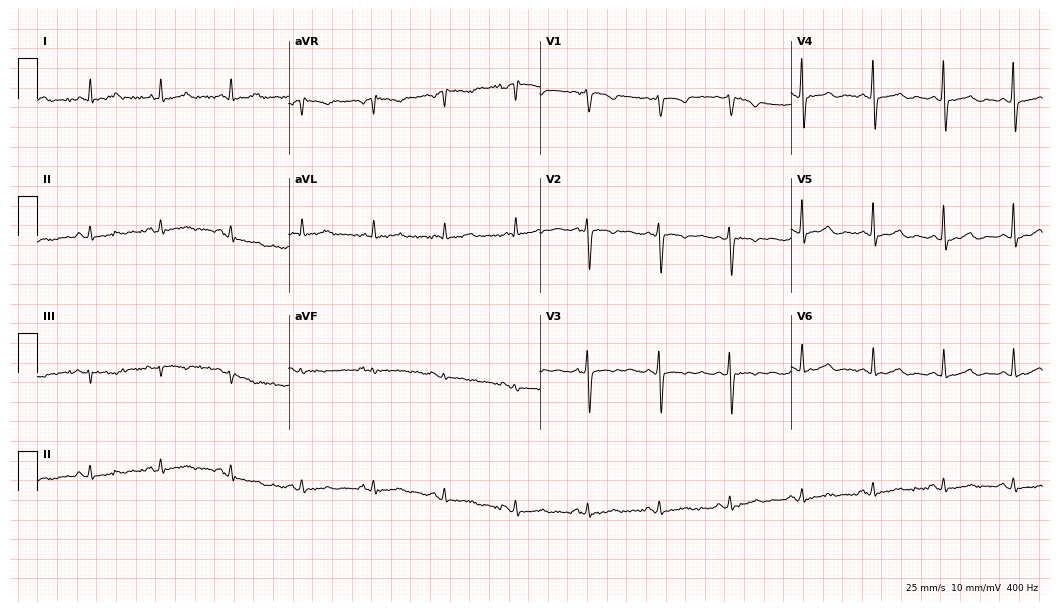
ECG — a female, 56 years old. Screened for six findings — first-degree AV block, right bundle branch block, left bundle branch block, sinus bradycardia, atrial fibrillation, sinus tachycardia — none is recorded.